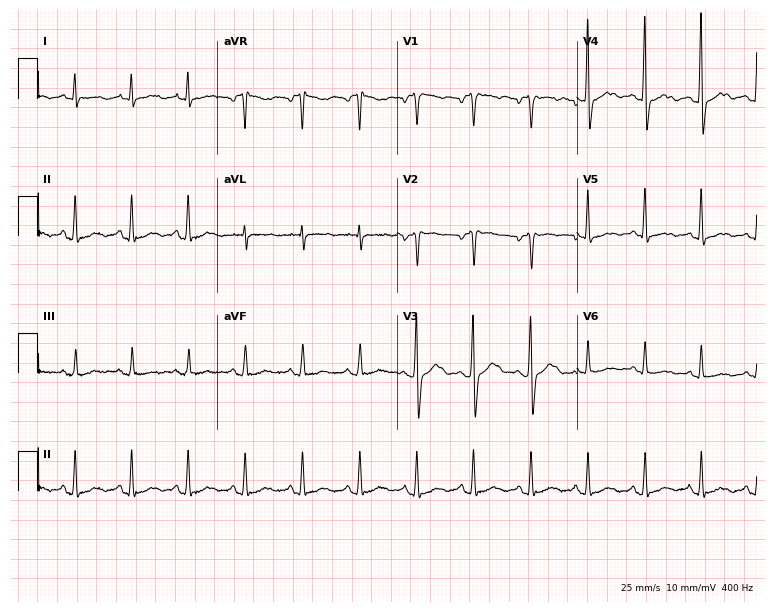
ECG (7.3-second recording at 400 Hz) — a female, 64 years old. Screened for six findings — first-degree AV block, right bundle branch block, left bundle branch block, sinus bradycardia, atrial fibrillation, sinus tachycardia — none is recorded. Findings outside these six are not listed.